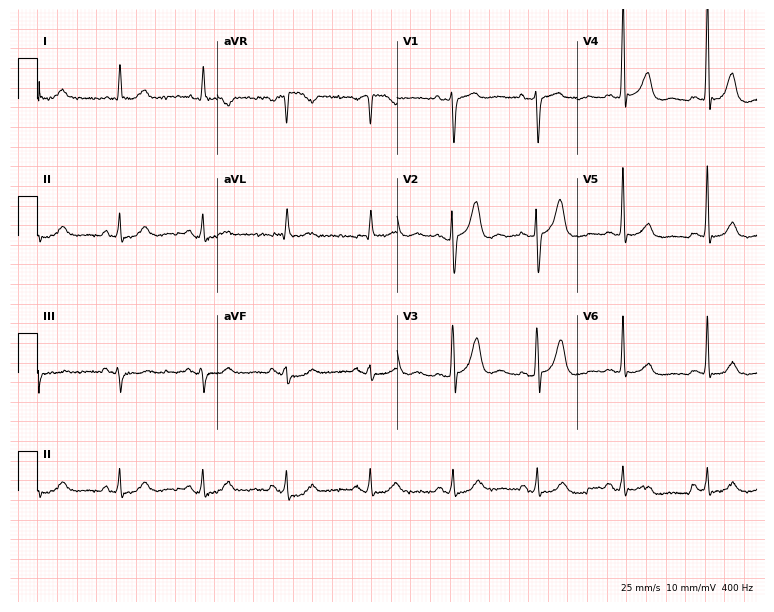
12-lead ECG from a man, 73 years old. Screened for six findings — first-degree AV block, right bundle branch block, left bundle branch block, sinus bradycardia, atrial fibrillation, sinus tachycardia — none is recorded. Only these six findings were labelled.